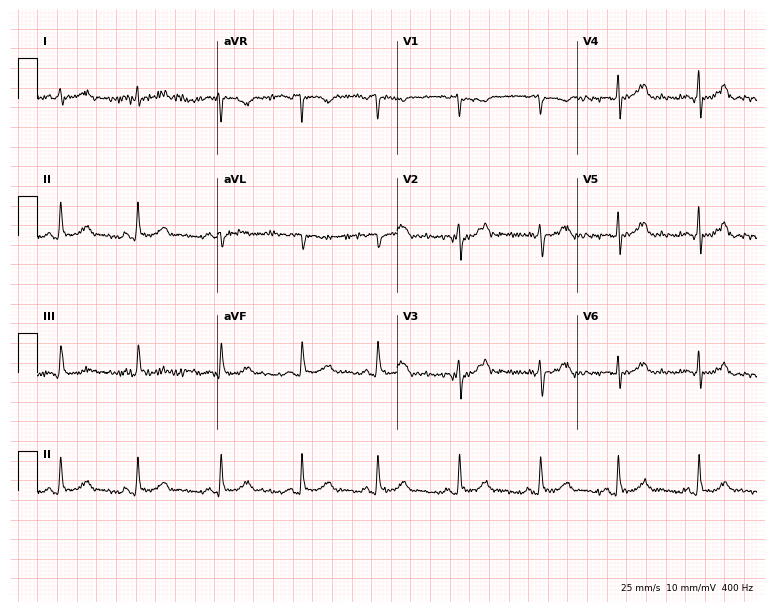
ECG (7.3-second recording at 400 Hz) — an 18-year-old female. Screened for six findings — first-degree AV block, right bundle branch block, left bundle branch block, sinus bradycardia, atrial fibrillation, sinus tachycardia — none is recorded.